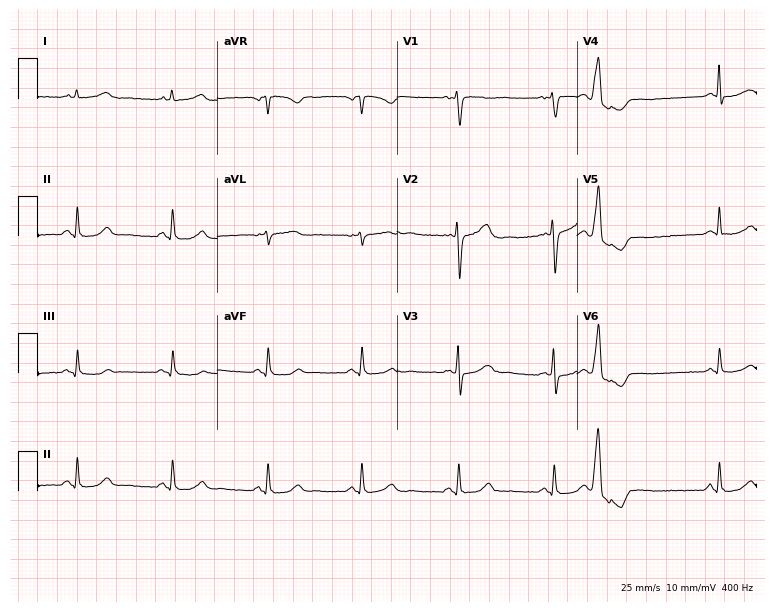
Resting 12-lead electrocardiogram. Patient: a female, 37 years old. None of these six findings is recorded: first-degree AV block, right bundle branch block (RBBB), left bundle branch block (LBBB), sinus bradycardia, atrial fibrillation (AF), sinus tachycardia. Findings outside these six are not listed.